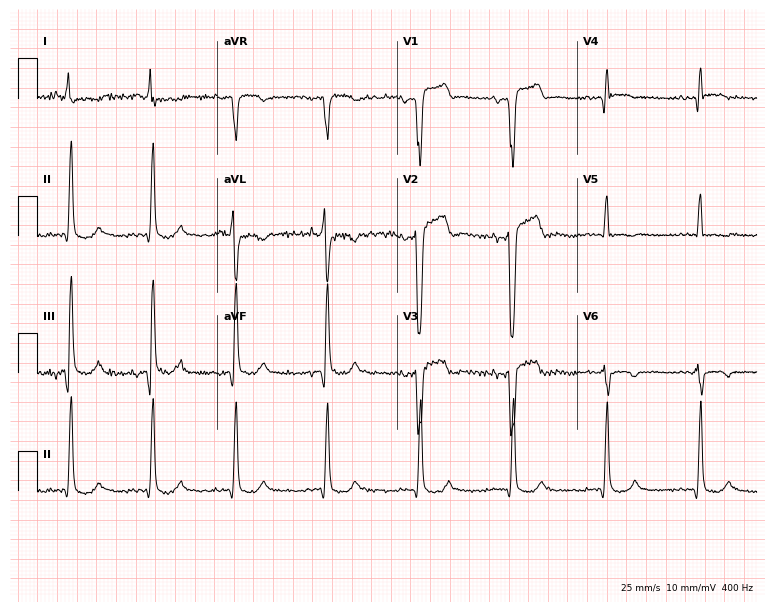
Resting 12-lead electrocardiogram. Patient: a 68-year-old man. None of these six findings is recorded: first-degree AV block, right bundle branch block, left bundle branch block, sinus bradycardia, atrial fibrillation, sinus tachycardia.